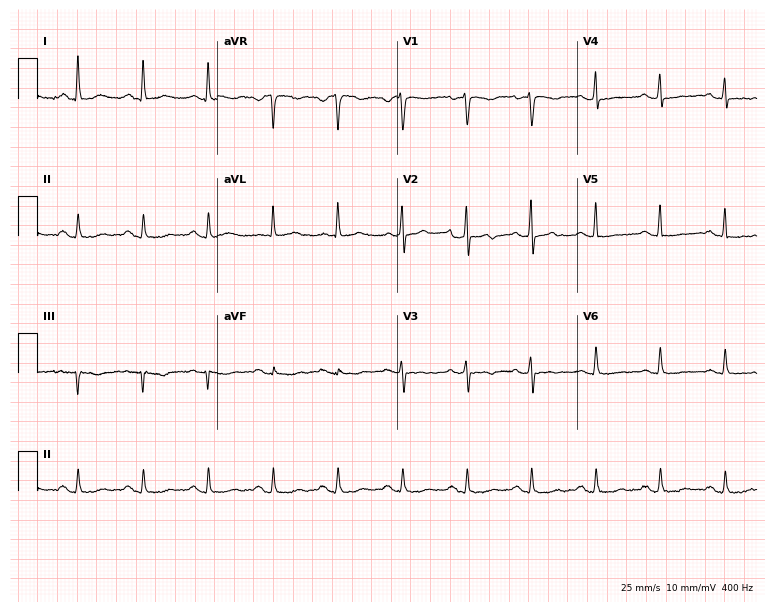
ECG — a 61-year-old female patient. Screened for six findings — first-degree AV block, right bundle branch block (RBBB), left bundle branch block (LBBB), sinus bradycardia, atrial fibrillation (AF), sinus tachycardia — none is recorded.